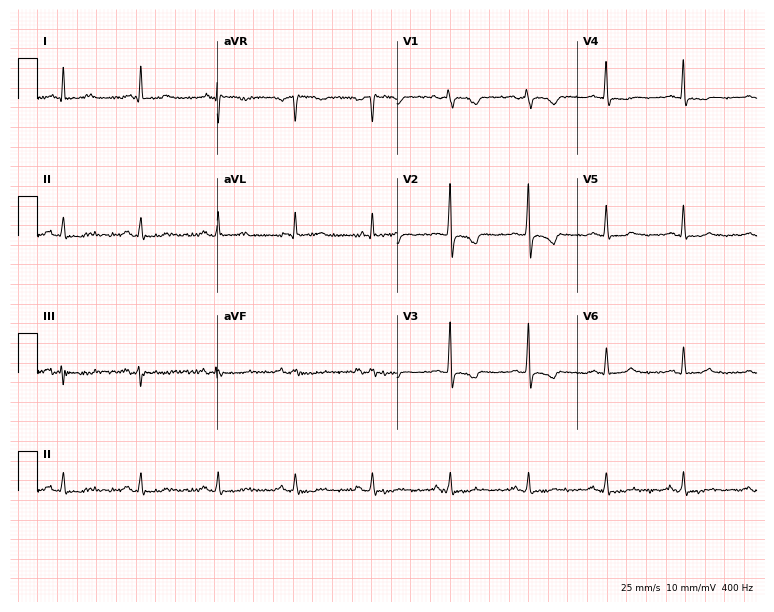
12-lead ECG from a 59-year-old female patient. No first-degree AV block, right bundle branch block, left bundle branch block, sinus bradycardia, atrial fibrillation or sinus tachycardia recorded for this tracing.